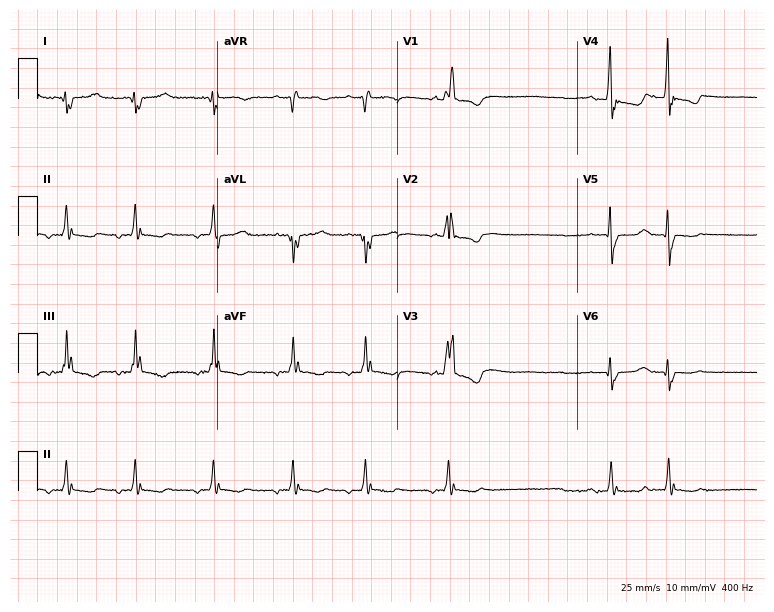
ECG (7.3-second recording at 400 Hz) — a man, 85 years old. Findings include right bundle branch block.